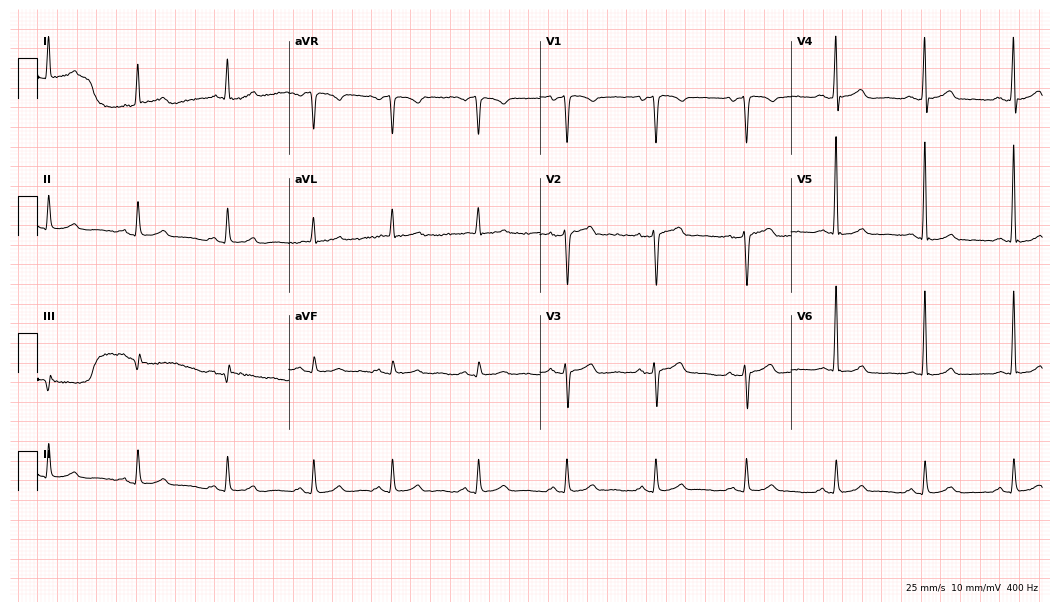
ECG — a man, 63 years old. Labelled as a normal ECG.